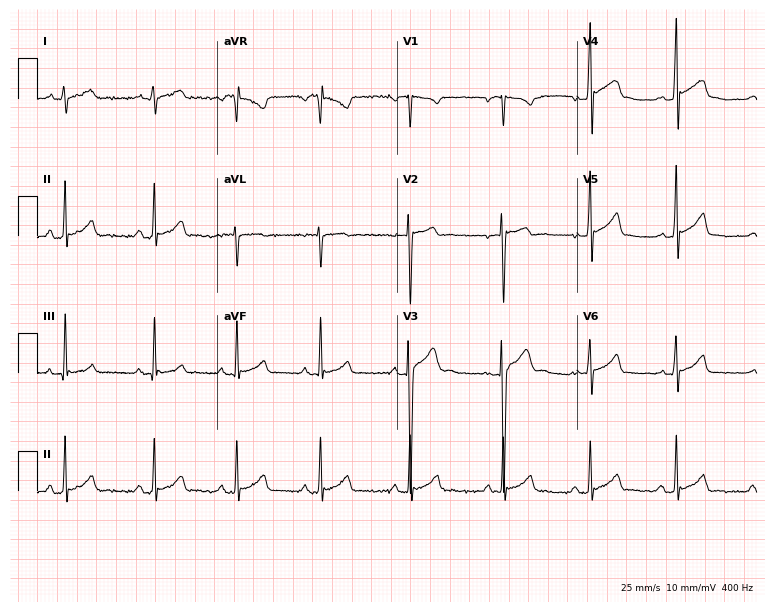
ECG — a male patient, 18 years old. Labelled as a normal ECG.